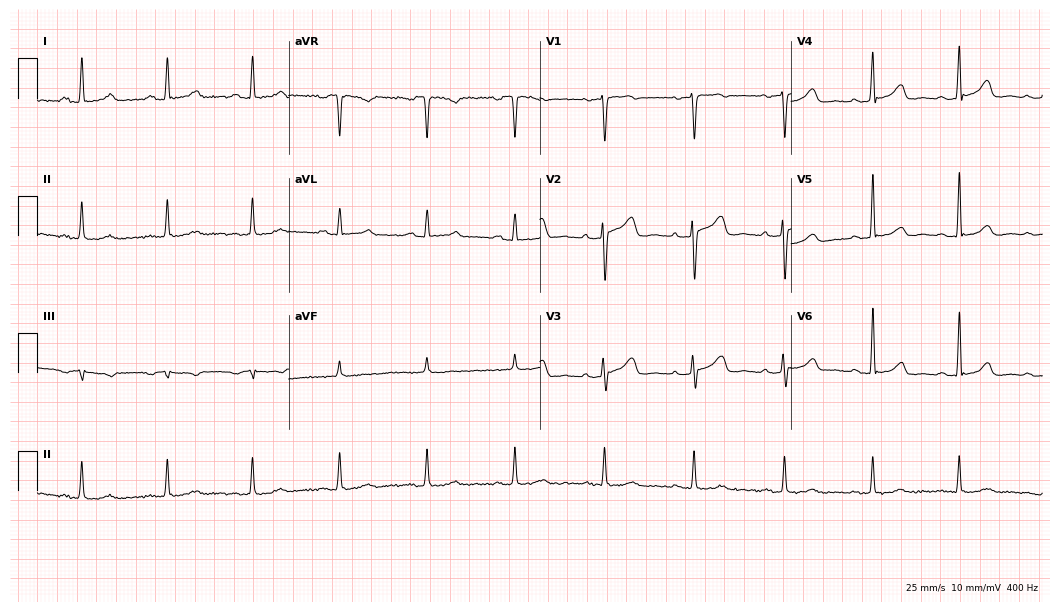
Resting 12-lead electrocardiogram. Patient: a woman, 46 years old. Read as a normal ECG.